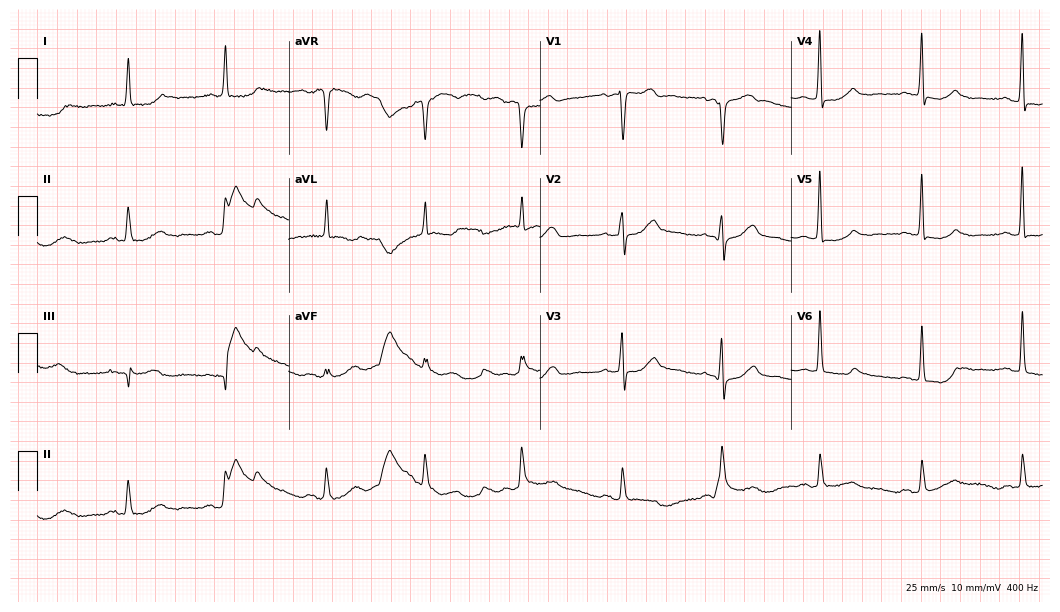
12-lead ECG from a female patient, 73 years old. Labelled as a normal ECG.